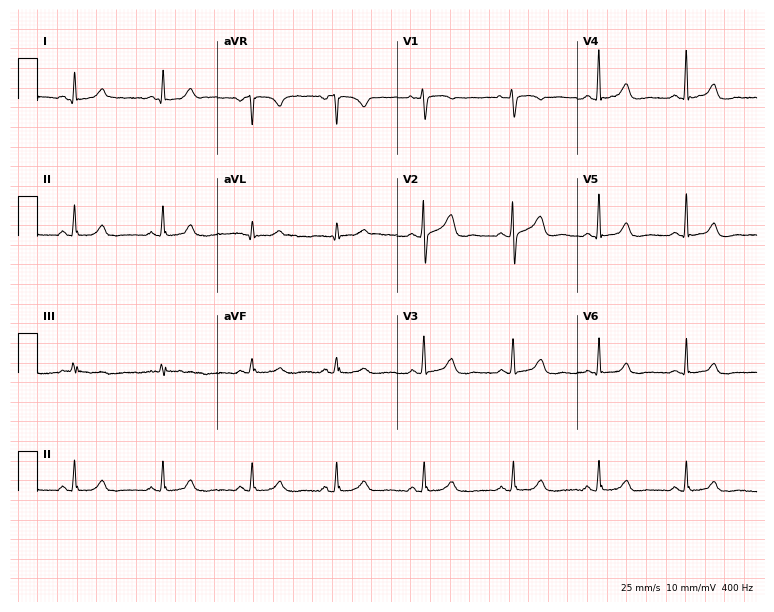
12-lead ECG from a 41-year-old female patient. Labelled as a normal ECG.